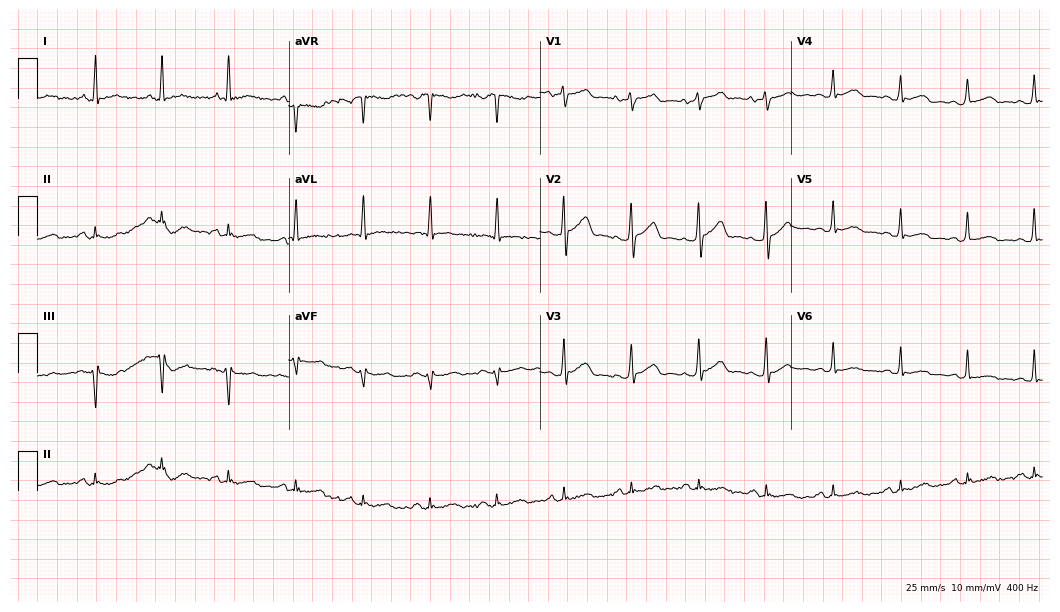
ECG — a male, 57 years old. Labelled as a normal ECG.